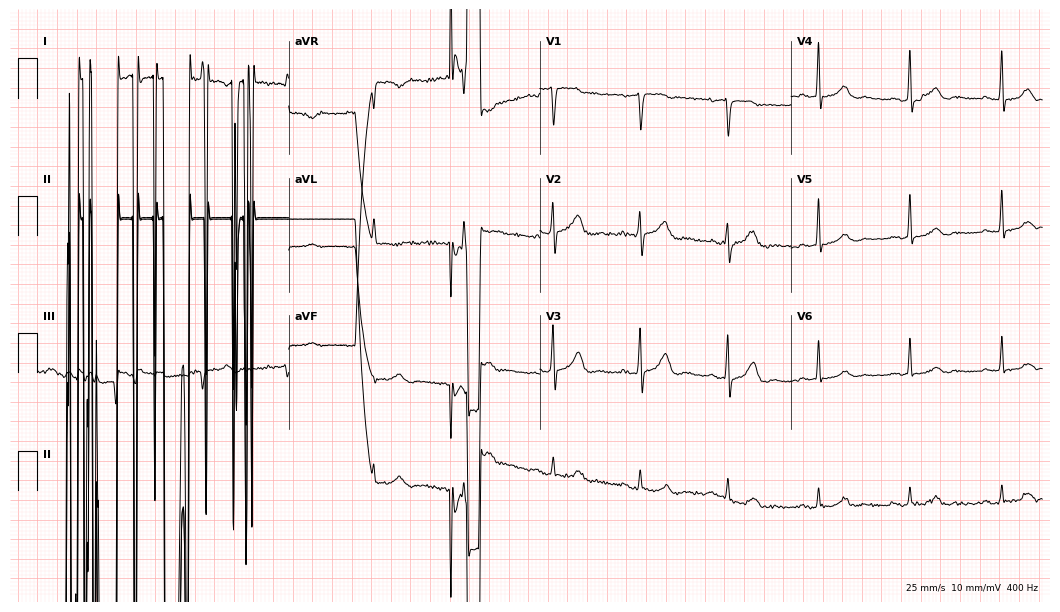
ECG (10.2-second recording at 400 Hz) — a male, 83 years old. Screened for six findings — first-degree AV block, right bundle branch block (RBBB), left bundle branch block (LBBB), sinus bradycardia, atrial fibrillation (AF), sinus tachycardia — none is recorded. Only these six findings were labelled.